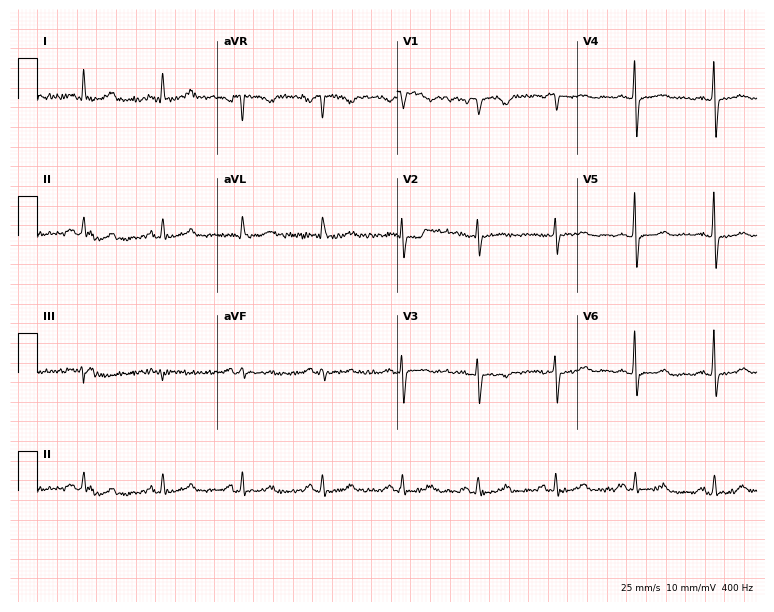
Resting 12-lead electrocardiogram. Patient: a woman, 63 years old. Read as a normal ECG.